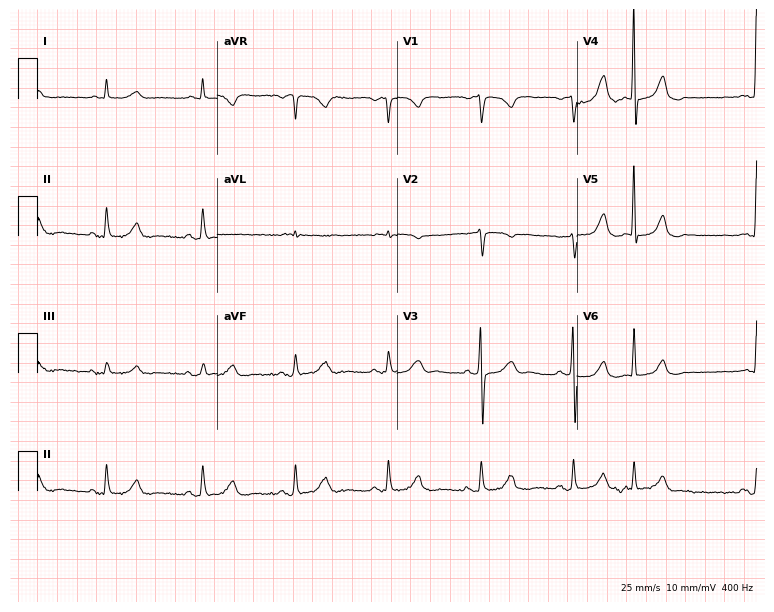
12-lead ECG from a male, 75 years old. No first-degree AV block, right bundle branch block, left bundle branch block, sinus bradycardia, atrial fibrillation or sinus tachycardia recorded for this tracing. Findings outside these six are not listed.